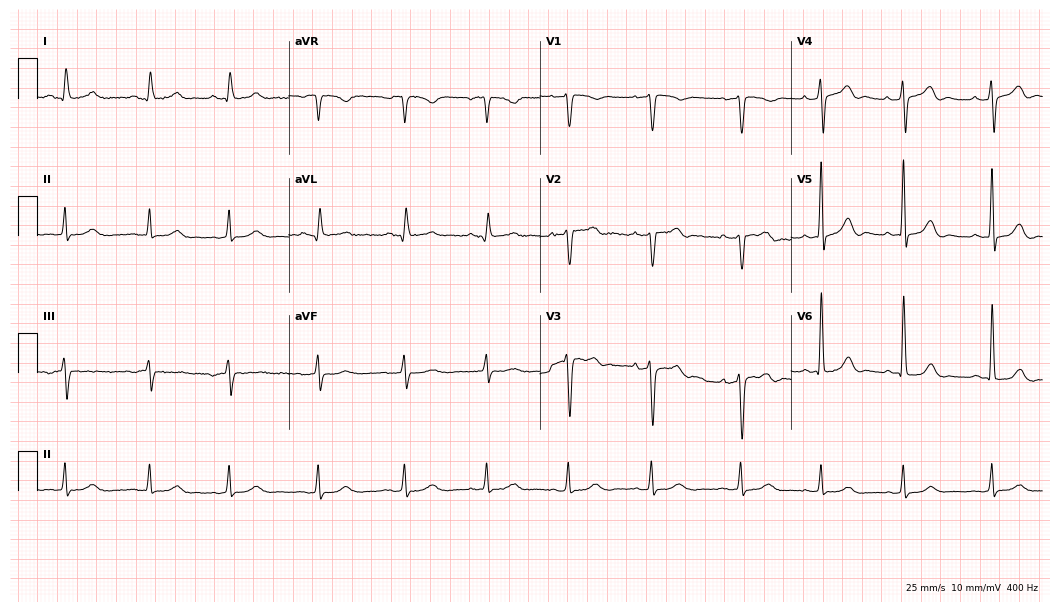
Resting 12-lead electrocardiogram (10.2-second recording at 400 Hz). Patient: a male, 63 years old. Read as a normal ECG.